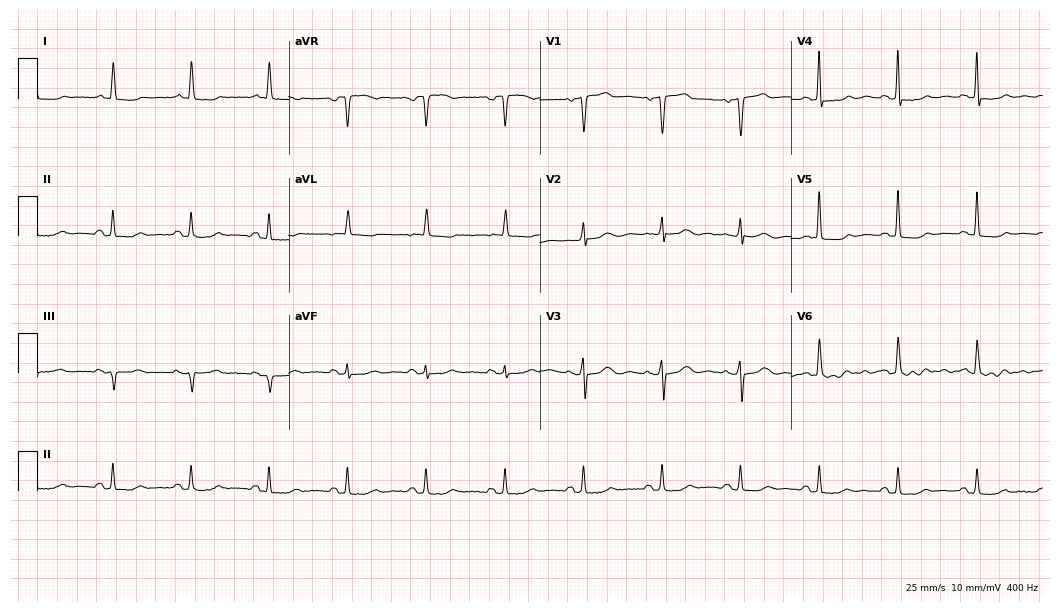
12-lead ECG from a woman, 75 years old. Screened for six findings — first-degree AV block, right bundle branch block, left bundle branch block, sinus bradycardia, atrial fibrillation, sinus tachycardia — none is recorded. Findings outside these six are not listed.